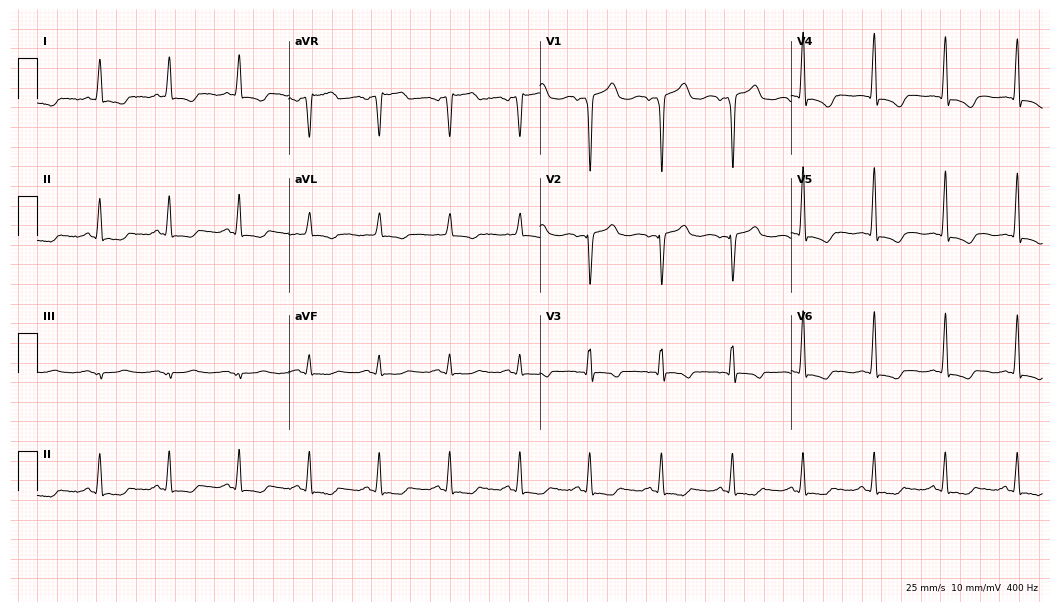
ECG — a 66-year-old female. Screened for six findings — first-degree AV block, right bundle branch block, left bundle branch block, sinus bradycardia, atrial fibrillation, sinus tachycardia — none is recorded. Only these six findings were labelled.